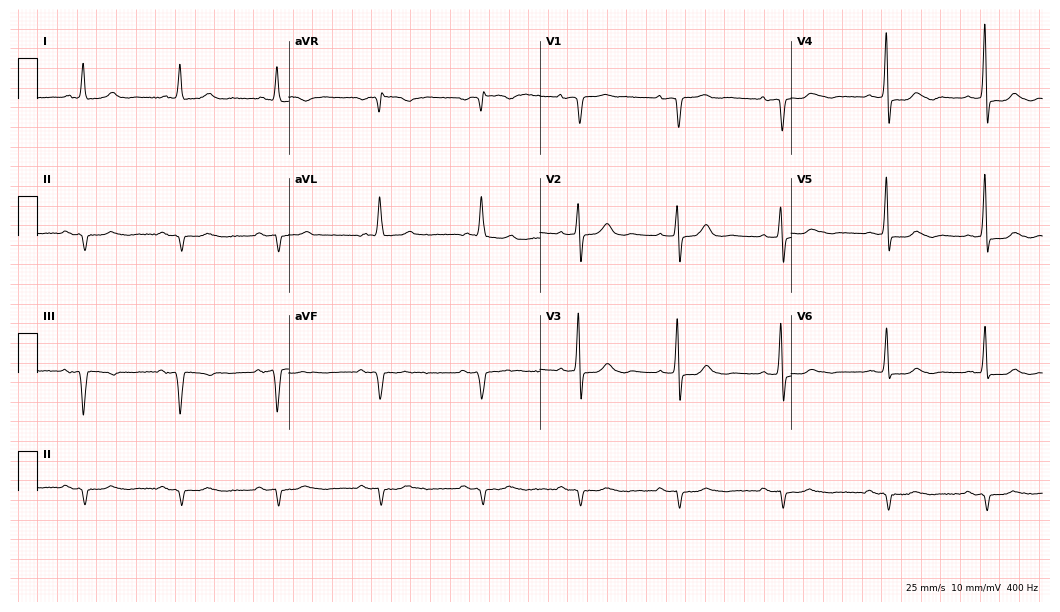
12-lead ECG from a 72-year-old man. Screened for six findings — first-degree AV block, right bundle branch block, left bundle branch block, sinus bradycardia, atrial fibrillation, sinus tachycardia — none is recorded.